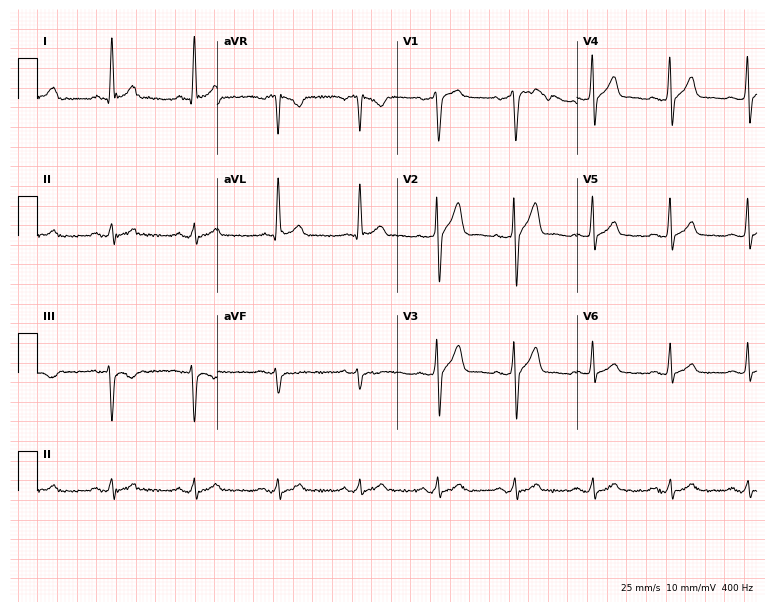
12-lead ECG from a 29-year-old man. Screened for six findings — first-degree AV block, right bundle branch block, left bundle branch block, sinus bradycardia, atrial fibrillation, sinus tachycardia — none is recorded. Only these six findings were labelled.